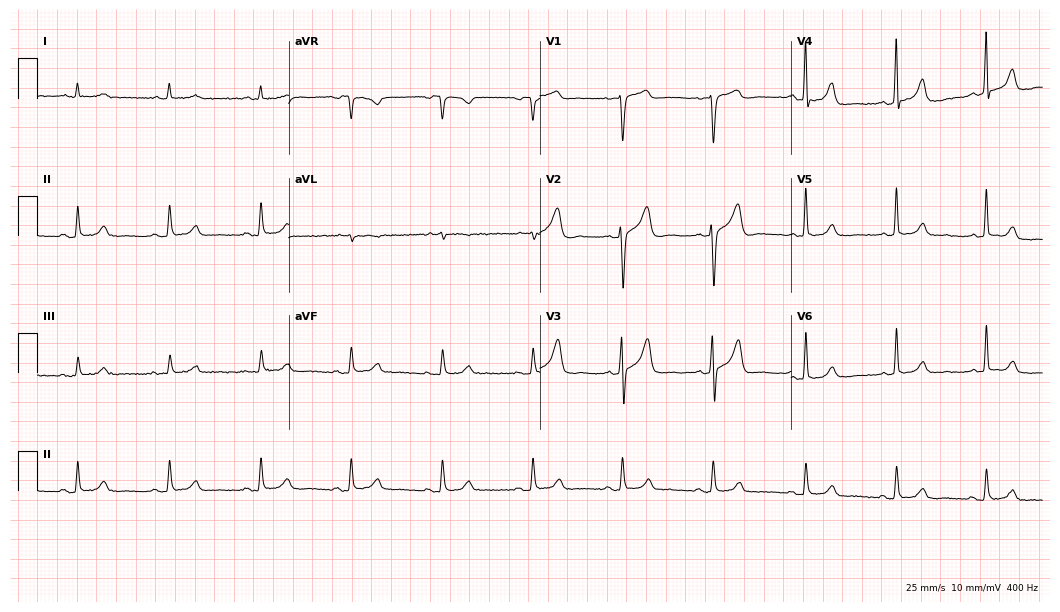
ECG — a male patient, 72 years old. Labelled as a normal ECG.